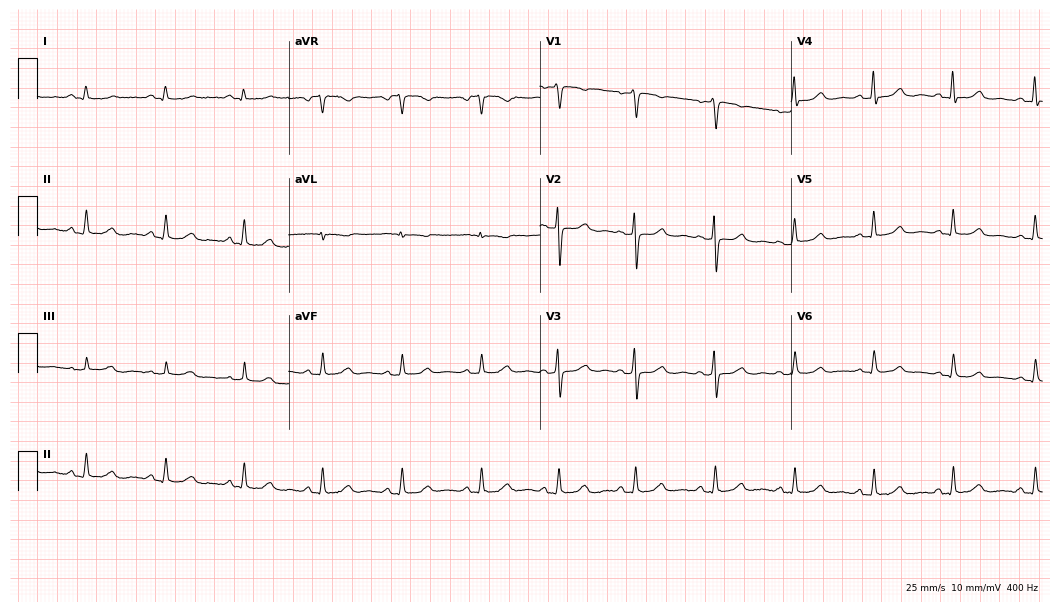
12-lead ECG from a female, 52 years old. Screened for six findings — first-degree AV block, right bundle branch block, left bundle branch block, sinus bradycardia, atrial fibrillation, sinus tachycardia — none is recorded. Other findings, if any, are not listed.